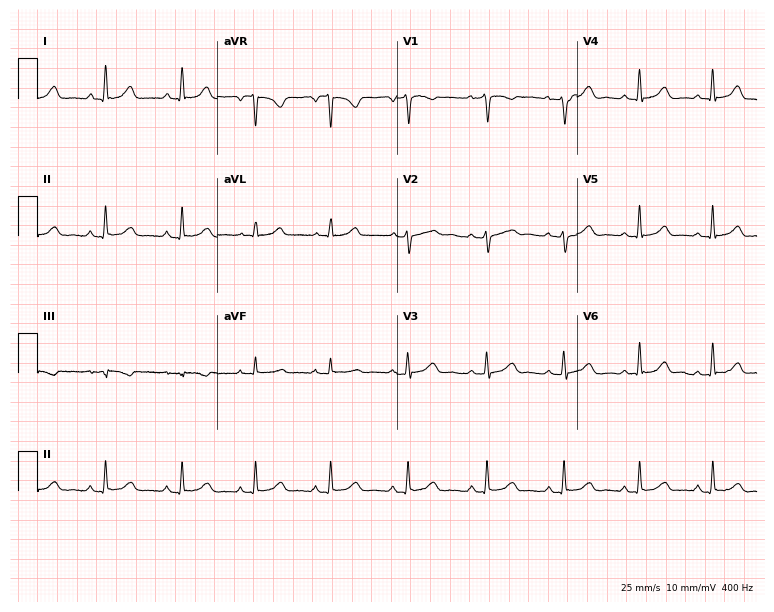
12-lead ECG from a 42-year-old woman. Labelled as a normal ECG.